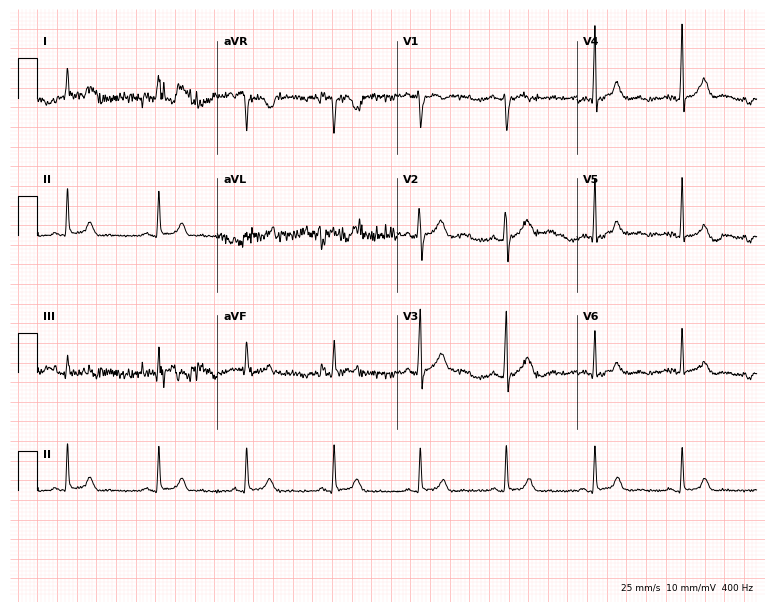
12-lead ECG from a 41-year-old male (7.3-second recording at 400 Hz). Recorded interpretation: within normal limits.